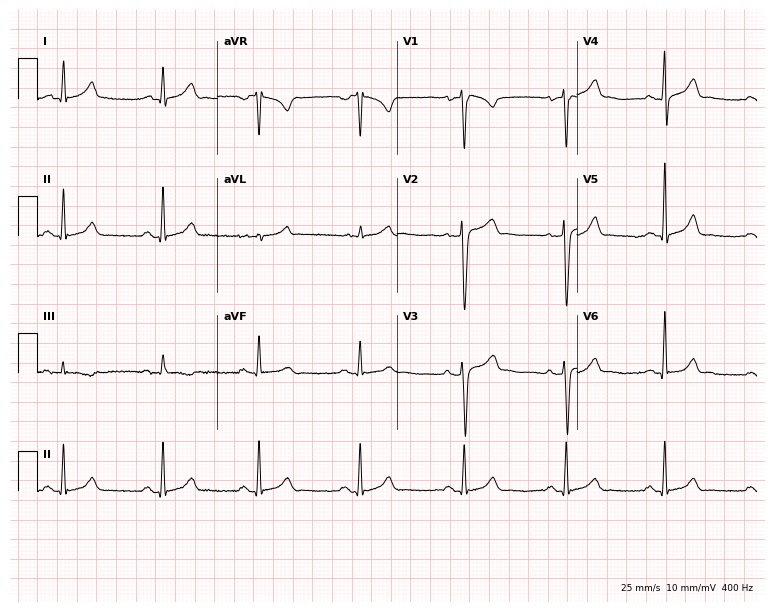
12-lead ECG from a 31-year-old male. Screened for six findings — first-degree AV block, right bundle branch block, left bundle branch block, sinus bradycardia, atrial fibrillation, sinus tachycardia — none is recorded.